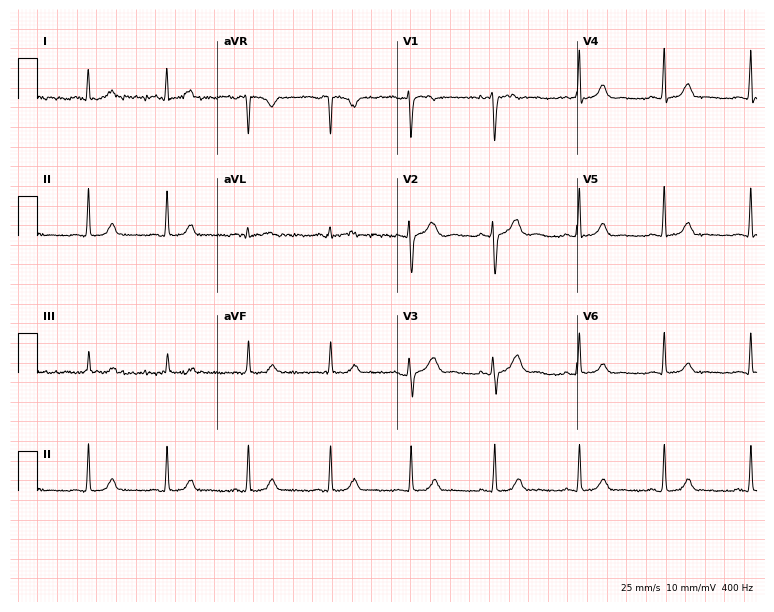
Electrocardiogram, a 32-year-old woman. Overall reading on record: normal ECG.